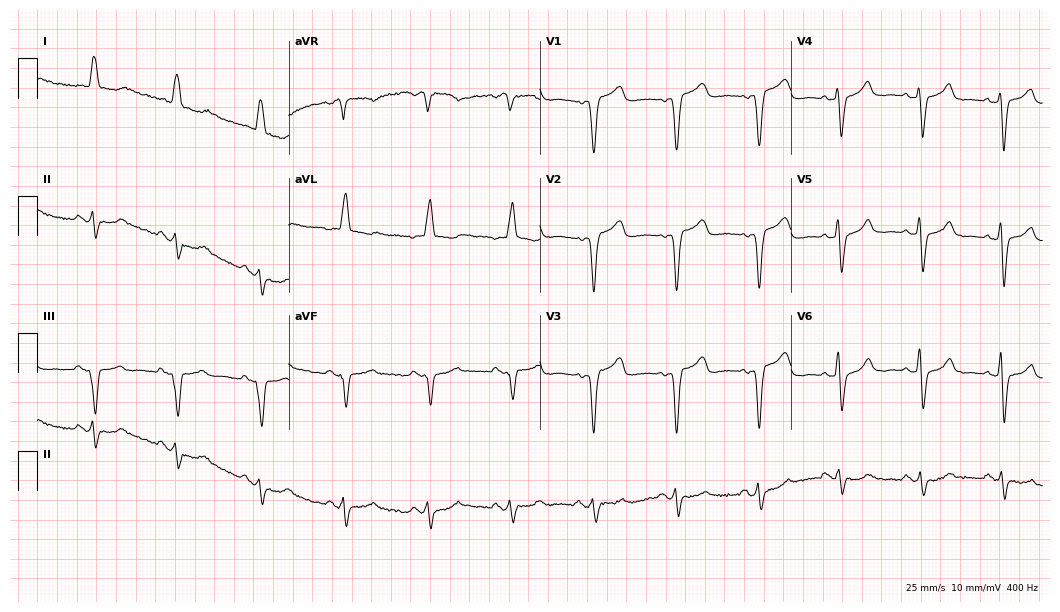
ECG (10.2-second recording at 400 Hz) — a man, 79 years old. Findings include left bundle branch block (LBBB).